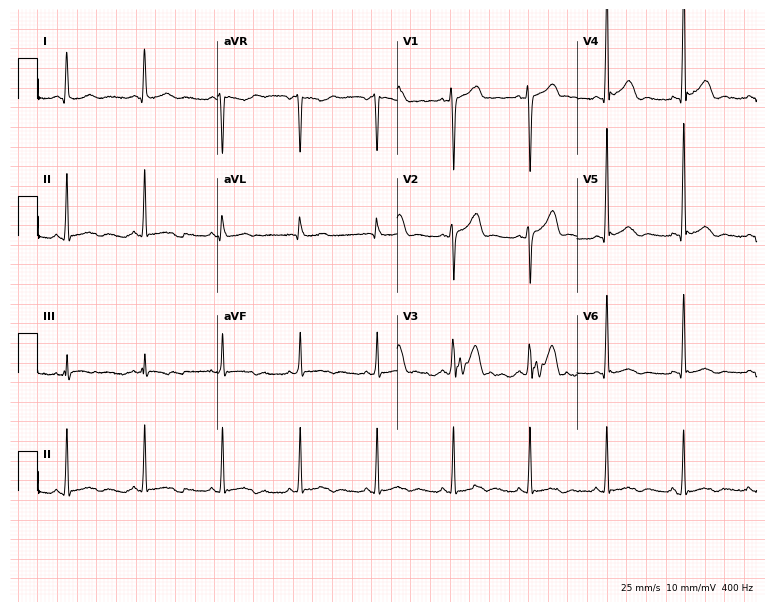
Standard 12-lead ECG recorded from a man, 41 years old. None of these six findings is recorded: first-degree AV block, right bundle branch block (RBBB), left bundle branch block (LBBB), sinus bradycardia, atrial fibrillation (AF), sinus tachycardia. Findings outside these six are not listed.